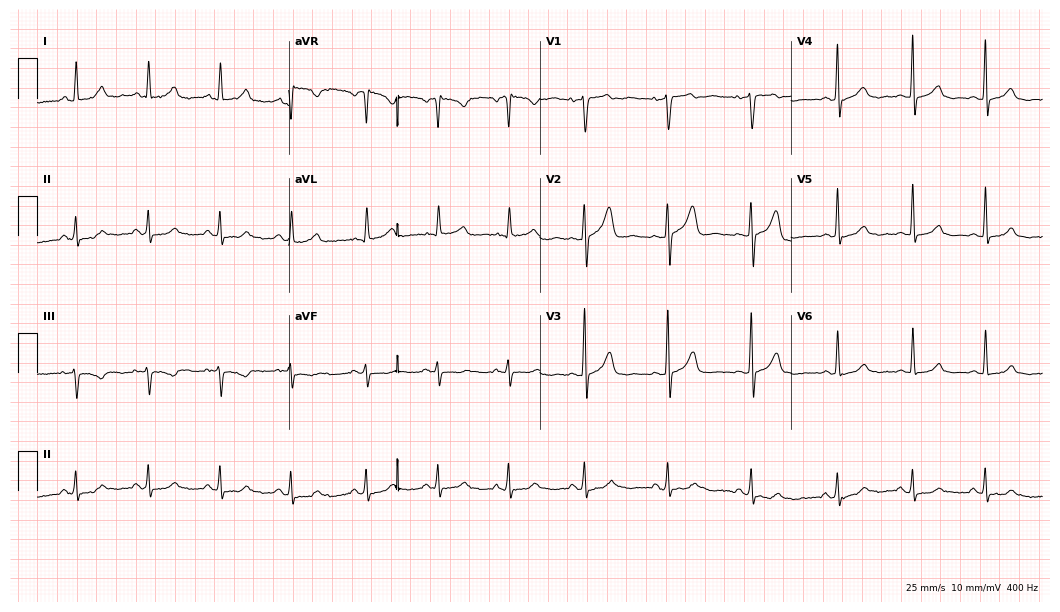
12-lead ECG (10.2-second recording at 400 Hz) from a woman, 34 years old. Labelled as a normal ECG.